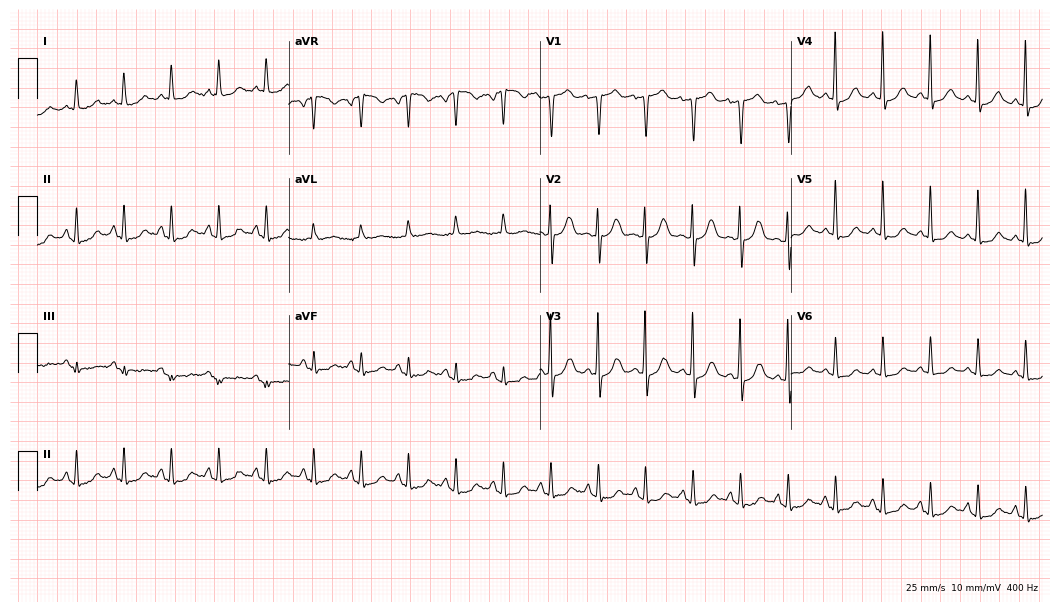
12-lead ECG from a 67-year-old female. Findings include sinus tachycardia (a sinus rate of 100 beats per minute or more).